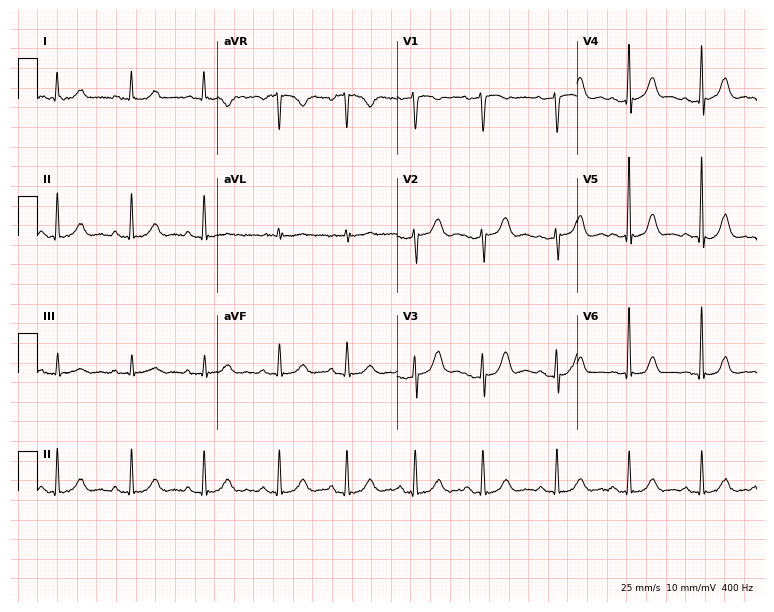
12-lead ECG from a 53-year-old female patient (7.3-second recording at 400 Hz). No first-degree AV block, right bundle branch block (RBBB), left bundle branch block (LBBB), sinus bradycardia, atrial fibrillation (AF) or sinus tachycardia recorded for this tracing. Other findings, if any, are not listed.